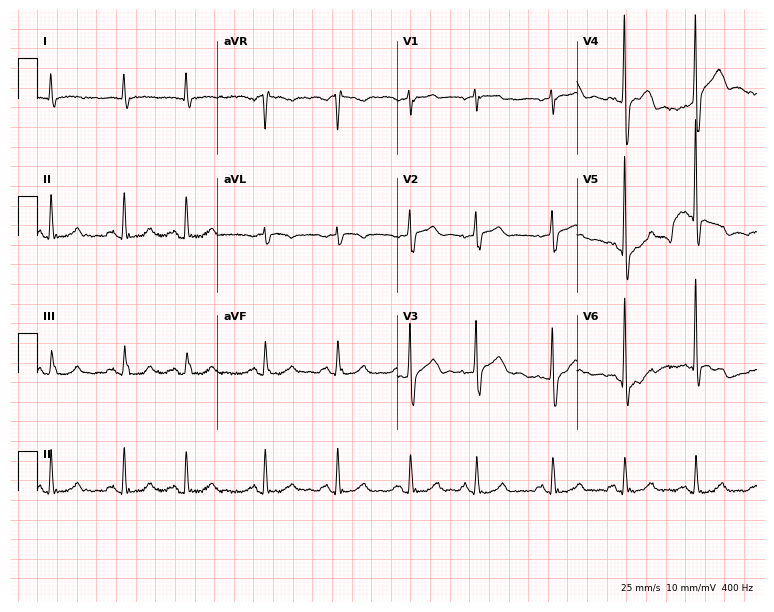
12-lead ECG (7.3-second recording at 400 Hz) from a man, 76 years old. Screened for six findings — first-degree AV block, right bundle branch block, left bundle branch block, sinus bradycardia, atrial fibrillation, sinus tachycardia — none is recorded.